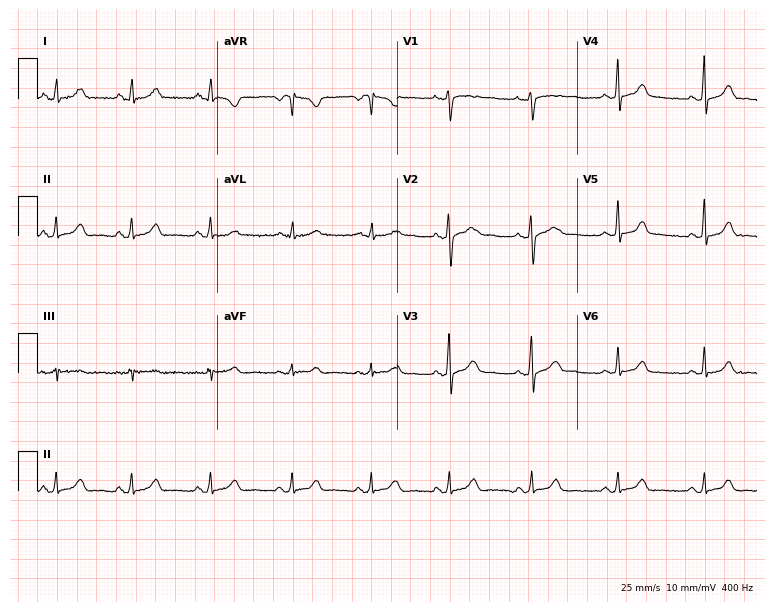
12-lead ECG from a female, 31 years old (7.3-second recording at 400 Hz). Recorded interpretation: within normal limits.